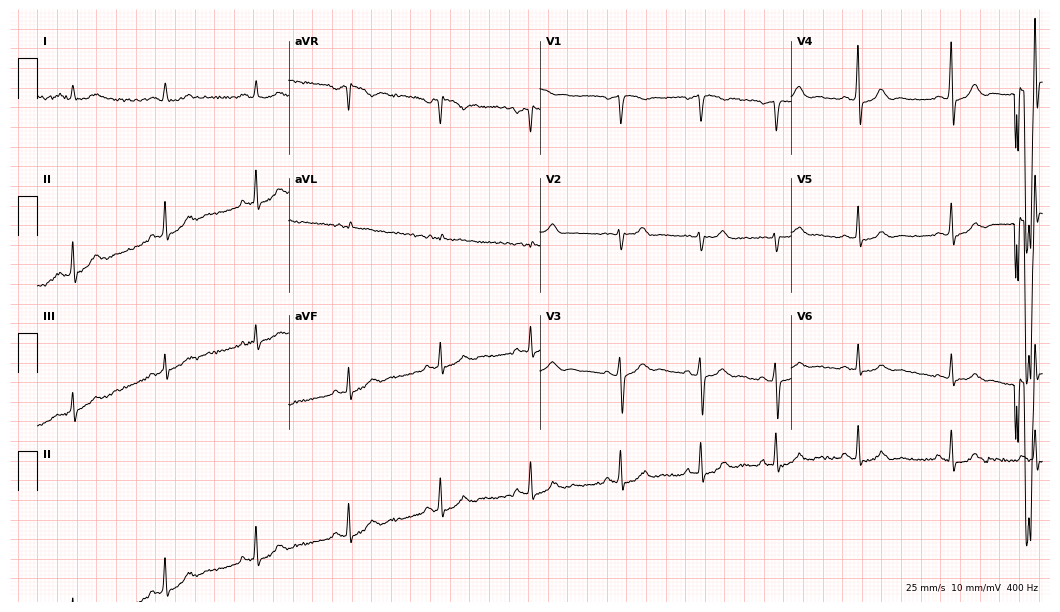
12-lead ECG (10.2-second recording at 400 Hz) from a female, 23 years old. Labelled as a normal ECG.